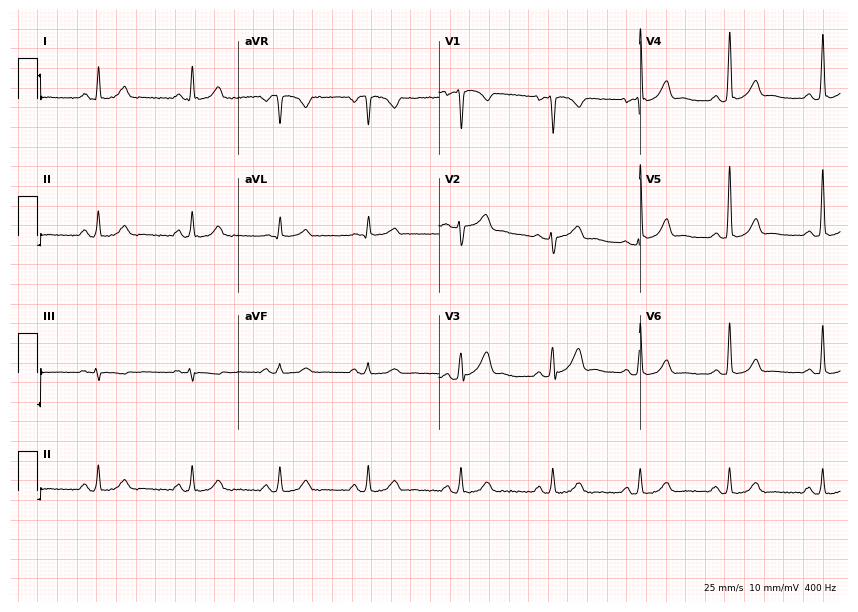
Resting 12-lead electrocardiogram (8.2-second recording at 400 Hz). Patient: a male, 26 years old. Read as a normal ECG.